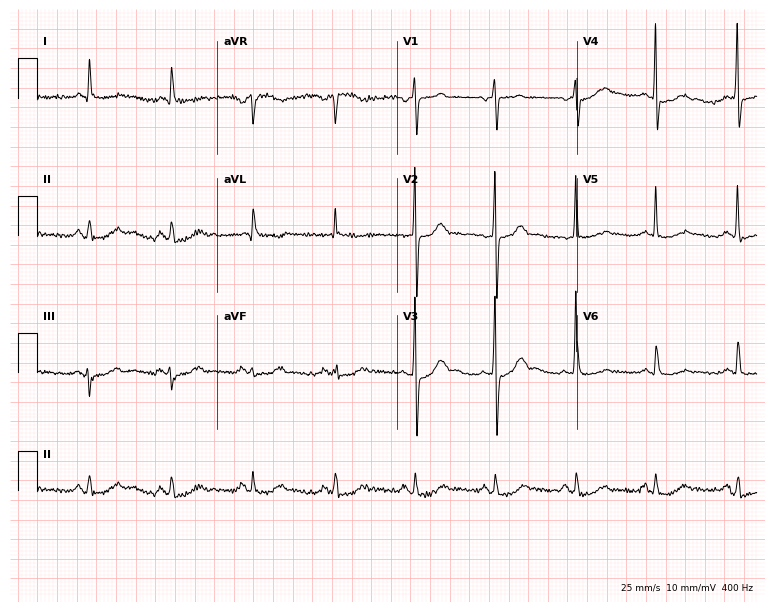
Standard 12-lead ECG recorded from a 73-year-old male. None of these six findings is recorded: first-degree AV block, right bundle branch block, left bundle branch block, sinus bradycardia, atrial fibrillation, sinus tachycardia.